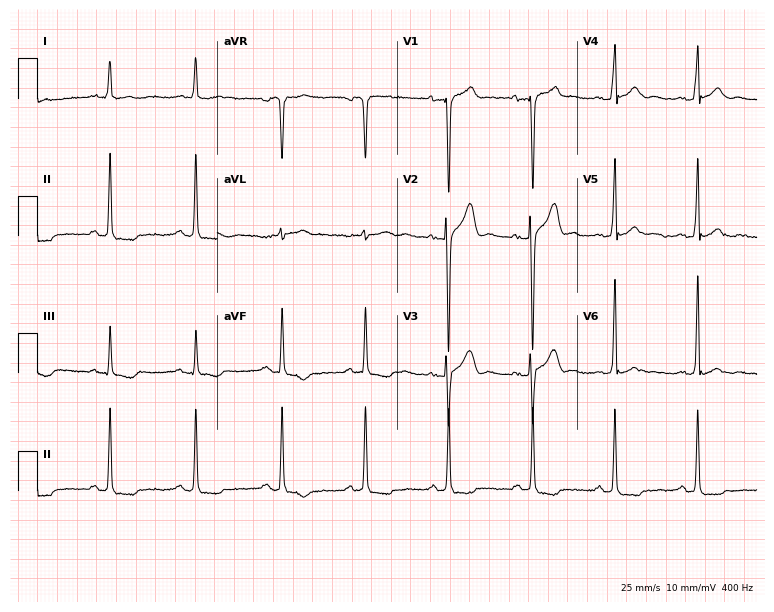
Electrocardiogram, a 56-year-old male patient. Of the six screened findings (first-degree AV block, right bundle branch block (RBBB), left bundle branch block (LBBB), sinus bradycardia, atrial fibrillation (AF), sinus tachycardia), none is recorded.